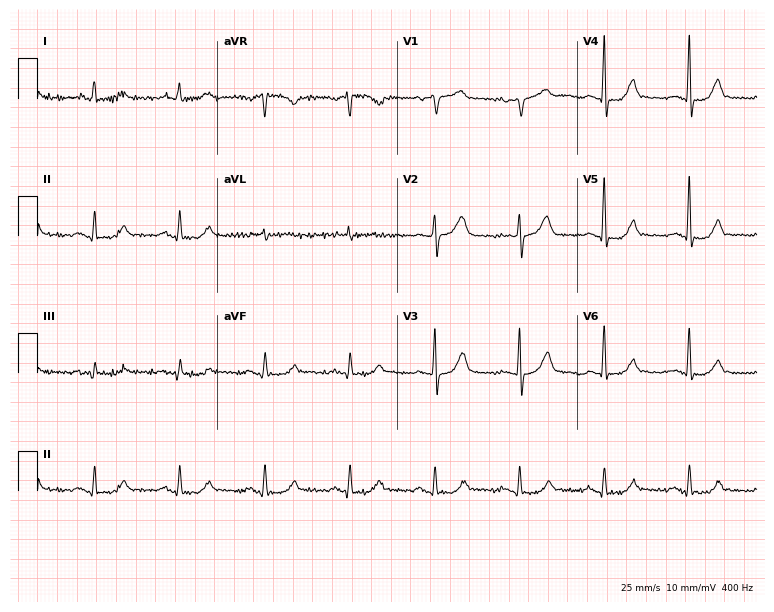
ECG — a 68-year-old male. Screened for six findings — first-degree AV block, right bundle branch block (RBBB), left bundle branch block (LBBB), sinus bradycardia, atrial fibrillation (AF), sinus tachycardia — none is recorded. Findings outside these six are not listed.